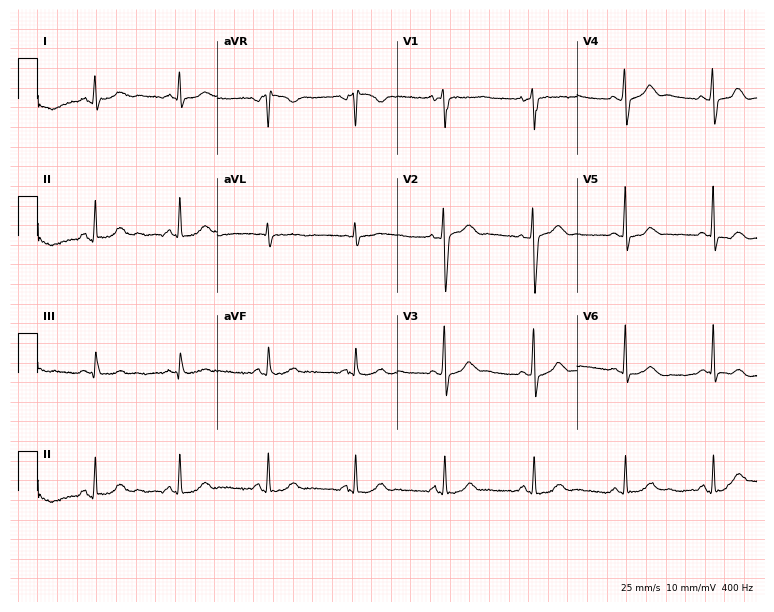
12-lead ECG from a 22-year-old female (7.3-second recording at 400 Hz). Recorded interpretation: within normal limits.